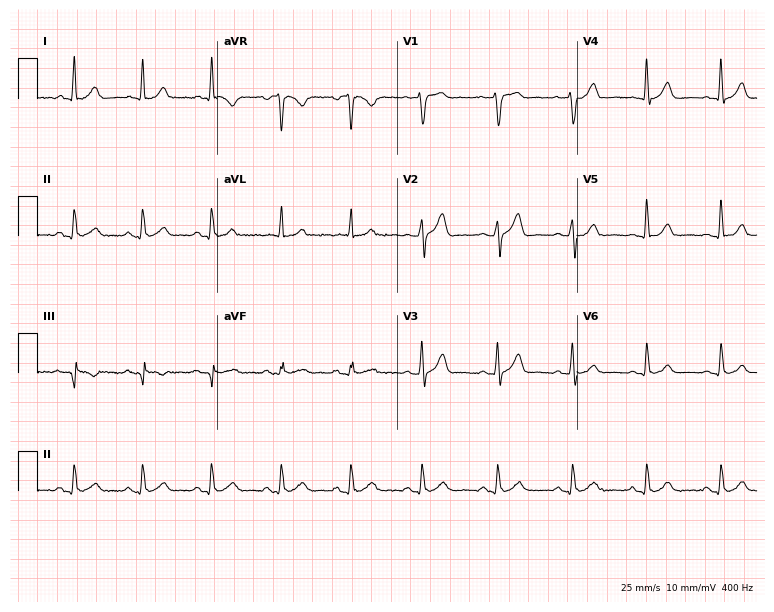
Electrocardiogram (7.3-second recording at 400 Hz), a 34-year-old woman. Overall reading on record: normal ECG.